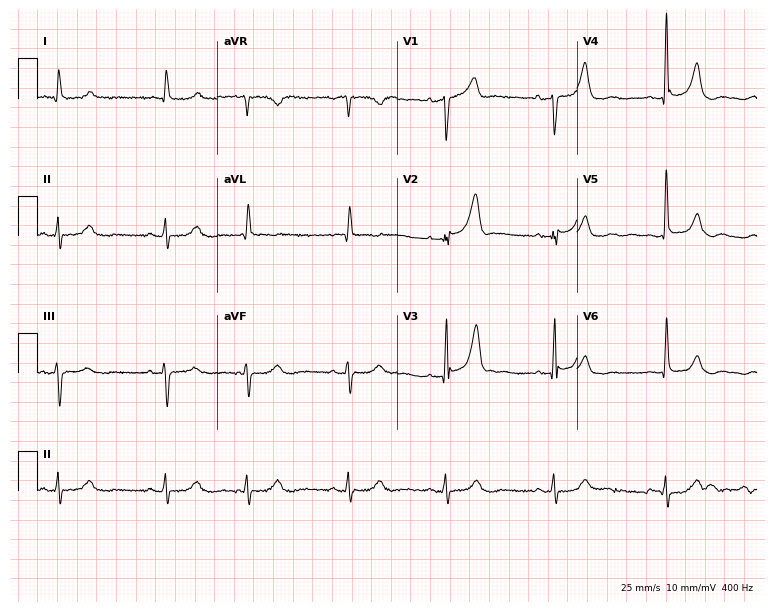
Resting 12-lead electrocardiogram (7.3-second recording at 400 Hz). Patient: a man, 81 years old. None of these six findings is recorded: first-degree AV block, right bundle branch block (RBBB), left bundle branch block (LBBB), sinus bradycardia, atrial fibrillation (AF), sinus tachycardia.